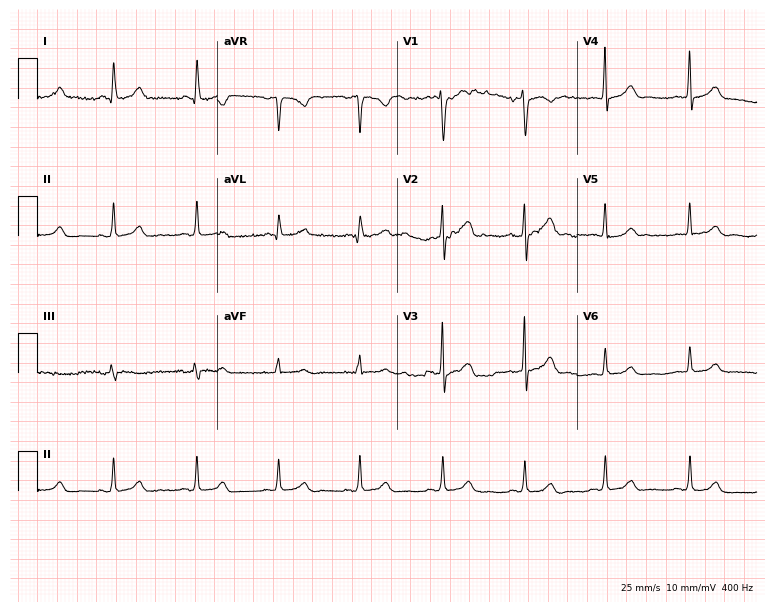
Standard 12-lead ECG recorded from a woman, 40 years old. Read as a normal ECG.